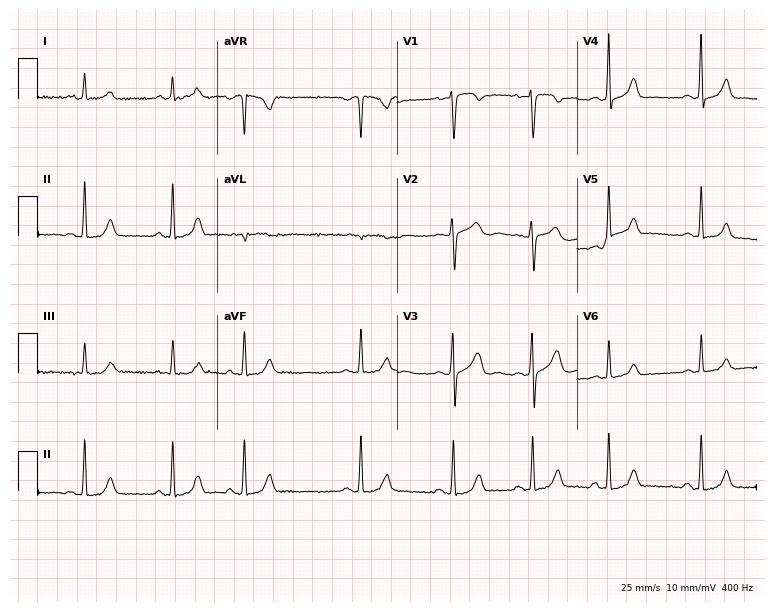
Resting 12-lead electrocardiogram (7.3-second recording at 400 Hz). Patient: a 30-year-old female. None of these six findings is recorded: first-degree AV block, right bundle branch block, left bundle branch block, sinus bradycardia, atrial fibrillation, sinus tachycardia. Findings outside these six are not listed.